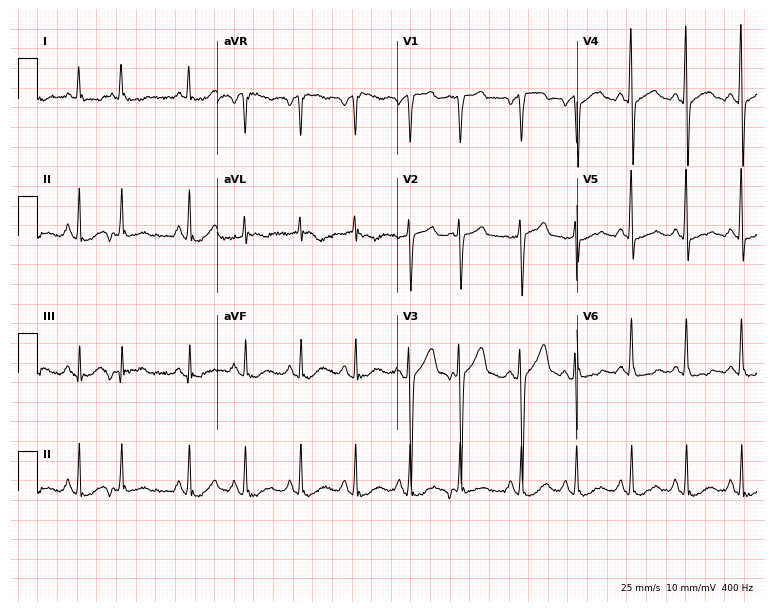
12-lead ECG from a male patient, 45 years old (7.3-second recording at 400 Hz). No first-degree AV block, right bundle branch block, left bundle branch block, sinus bradycardia, atrial fibrillation or sinus tachycardia recorded for this tracing. Only these six findings were labelled.